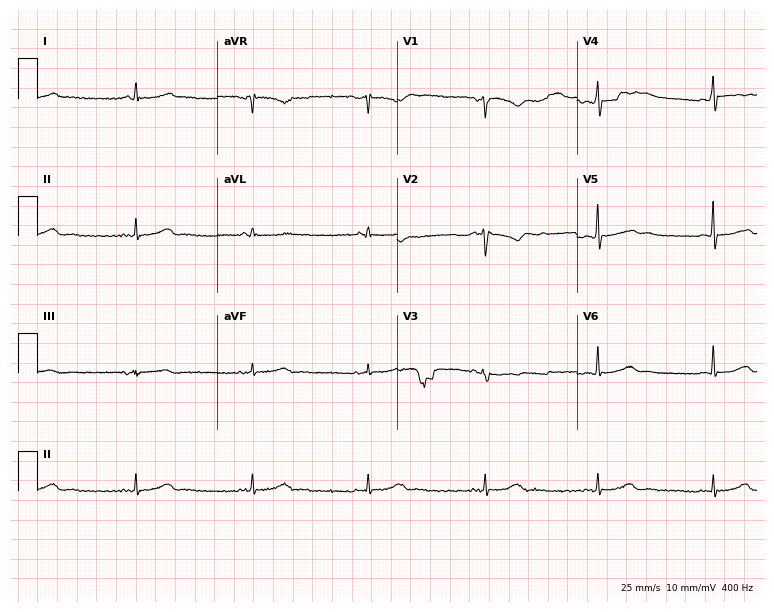
Electrocardiogram (7.3-second recording at 400 Hz), a man, 43 years old. Overall reading on record: normal ECG.